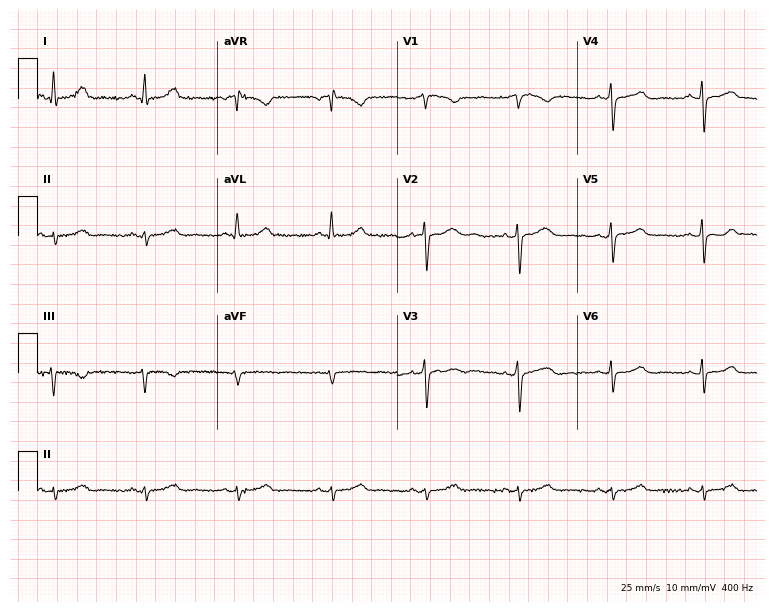
12-lead ECG from a 58-year-old woman (7.3-second recording at 400 Hz). No first-degree AV block, right bundle branch block, left bundle branch block, sinus bradycardia, atrial fibrillation or sinus tachycardia recorded for this tracing.